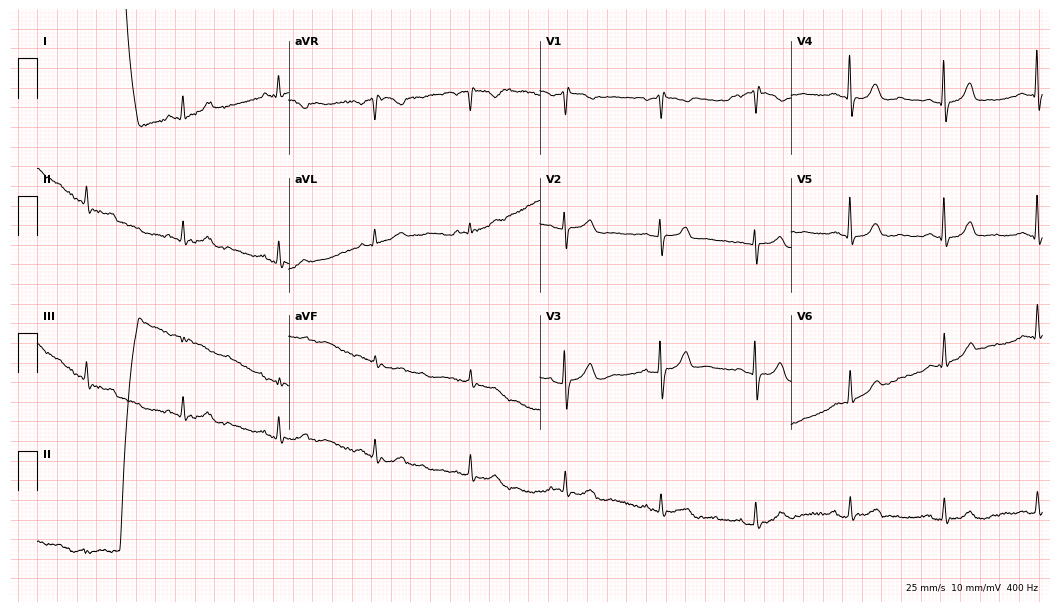
12-lead ECG from a male, 84 years old. Screened for six findings — first-degree AV block, right bundle branch block, left bundle branch block, sinus bradycardia, atrial fibrillation, sinus tachycardia — none is recorded. Findings outside these six are not listed.